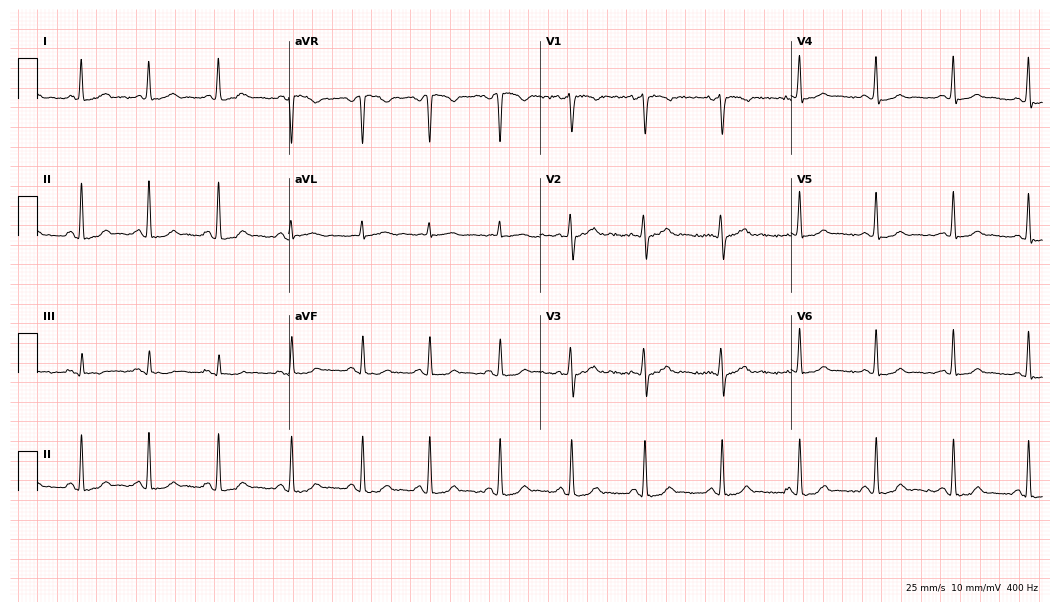
Standard 12-lead ECG recorded from a woman, 33 years old. Read as a normal ECG.